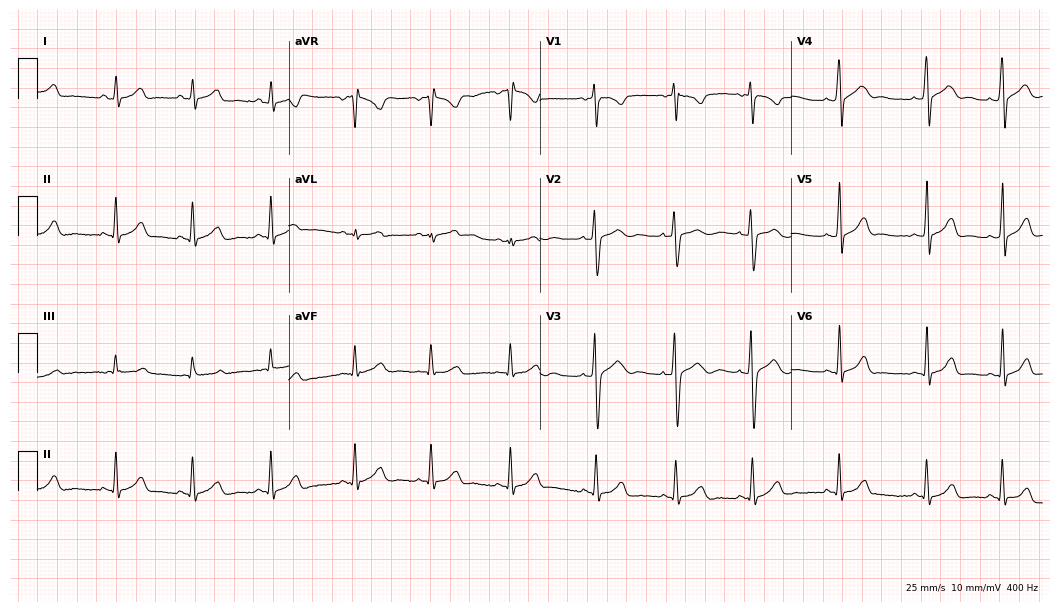
12-lead ECG from a female, 23 years old. Screened for six findings — first-degree AV block, right bundle branch block, left bundle branch block, sinus bradycardia, atrial fibrillation, sinus tachycardia — none is recorded.